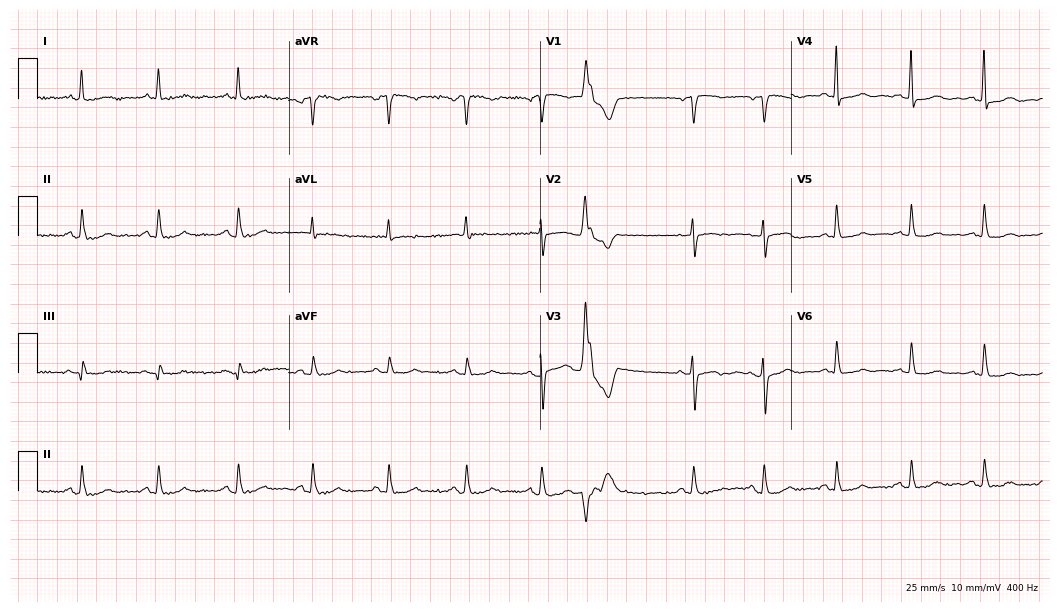
12-lead ECG from a female, 70 years old (10.2-second recording at 400 Hz). Recorded interpretation: within normal limits.